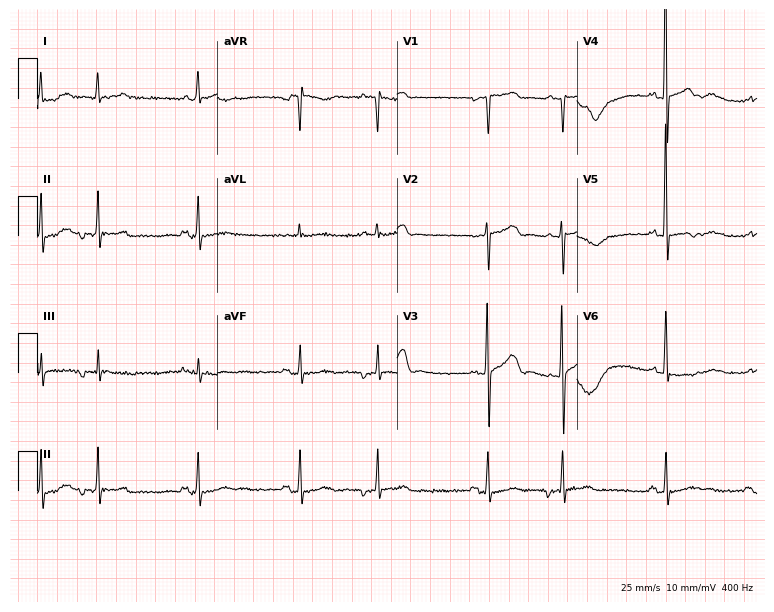
Electrocardiogram, a man, 79 years old. Of the six screened findings (first-degree AV block, right bundle branch block (RBBB), left bundle branch block (LBBB), sinus bradycardia, atrial fibrillation (AF), sinus tachycardia), none is recorded. Only these six findings were labelled.